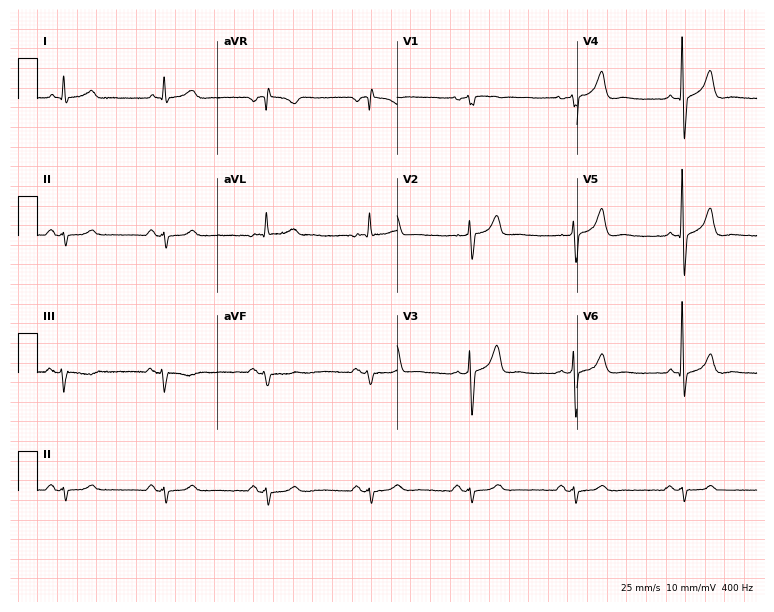
ECG — a female, 62 years old. Labelled as a normal ECG.